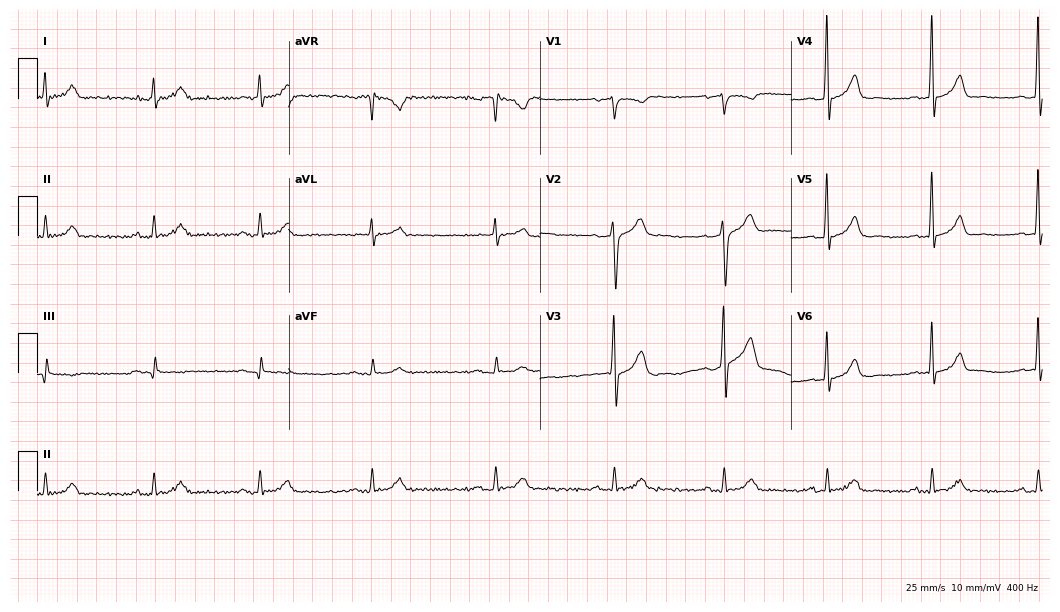
Standard 12-lead ECG recorded from a man, 52 years old (10.2-second recording at 400 Hz). Read as a normal ECG.